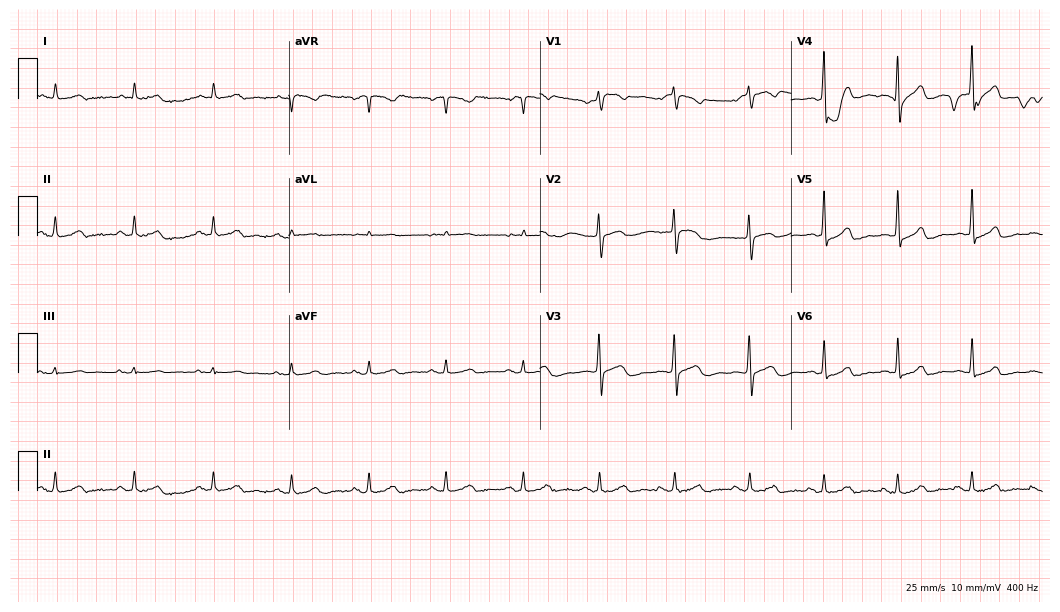
12-lead ECG from a female patient, 73 years old (10.2-second recording at 400 Hz). No first-degree AV block, right bundle branch block (RBBB), left bundle branch block (LBBB), sinus bradycardia, atrial fibrillation (AF) or sinus tachycardia recorded for this tracing. Other findings, if any, are not listed.